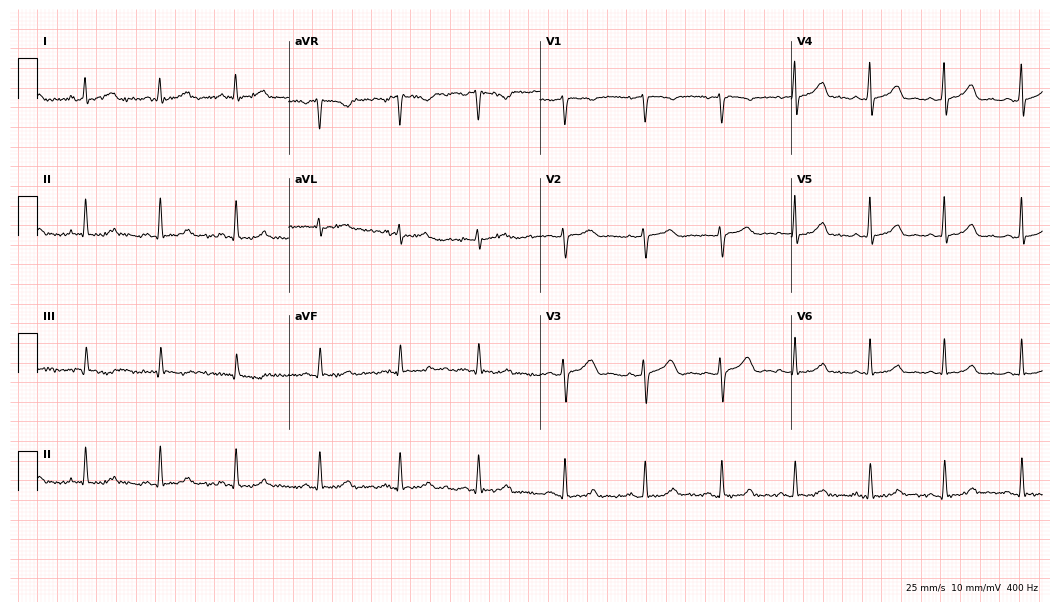
Electrocardiogram, a woman, 42 years old. Overall reading on record: normal ECG.